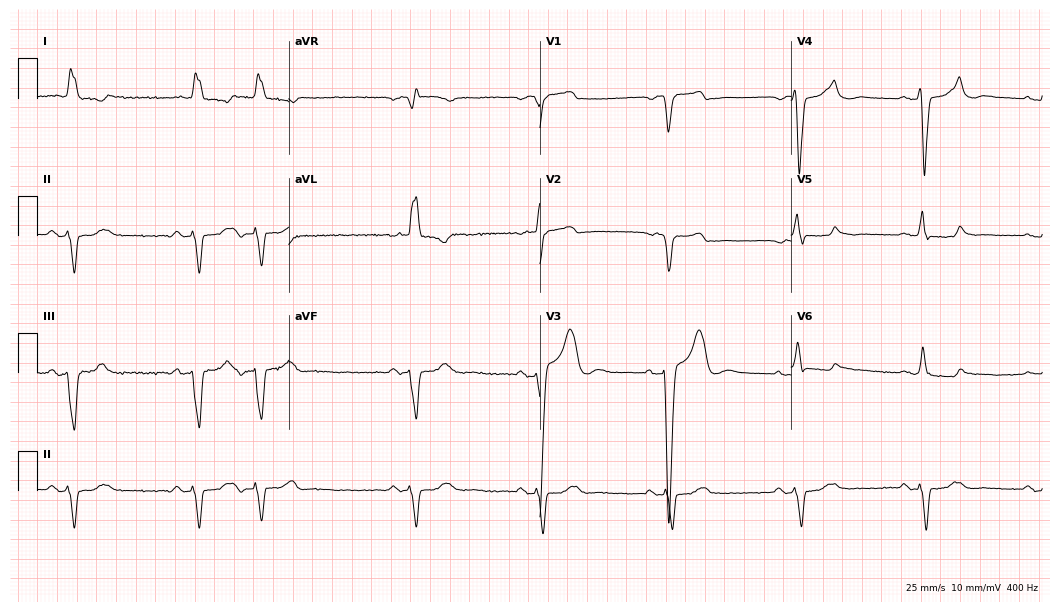
Electrocardiogram, a 74-year-old male. Of the six screened findings (first-degree AV block, right bundle branch block (RBBB), left bundle branch block (LBBB), sinus bradycardia, atrial fibrillation (AF), sinus tachycardia), none is recorded.